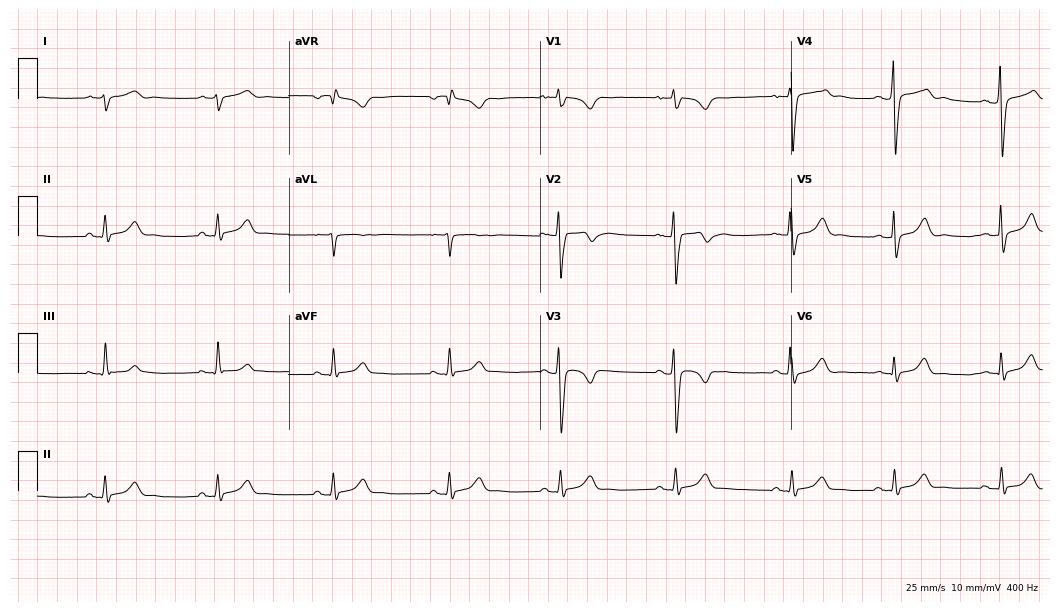
Resting 12-lead electrocardiogram. Patient: a male, 28 years old. None of these six findings is recorded: first-degree AV block, right bundle branch block, left bundle branch block, sinus bradycardia, atrial fibrillation, sinus tachycardia.